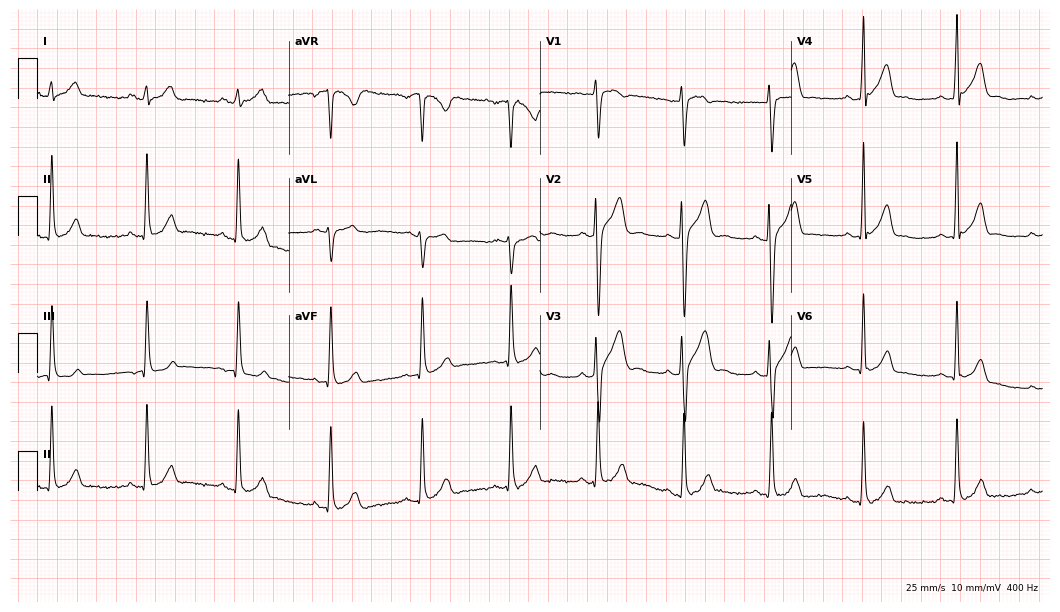
Electrocardiogram, a 23-year-old male patient. Of the six screened findings (first-degree AV block, right bundle branch block, left bundle branch block, sinus bradycardia, atrial fibrillation, sinus tachycardia), none is recorded. Findings outside these six are not listed.